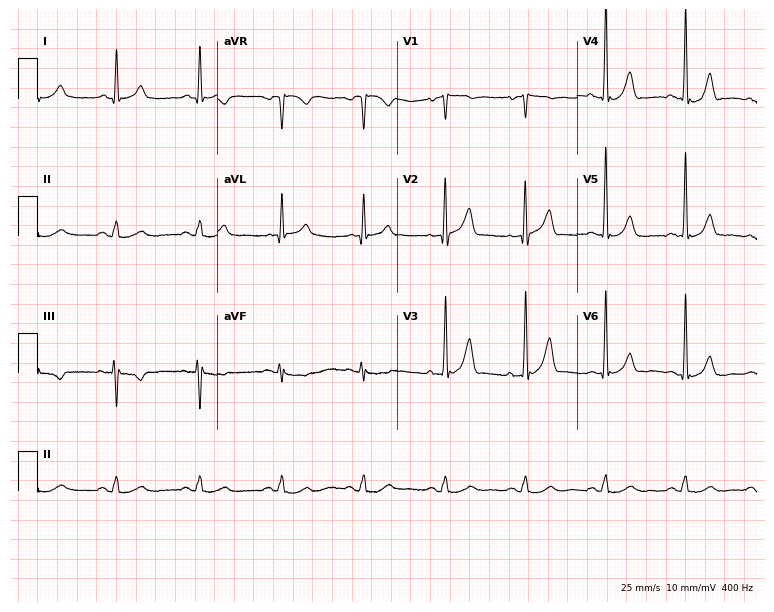
Standard 12-lead ECG recorded from a male patient, 61 years old. Read as a normal ECG.